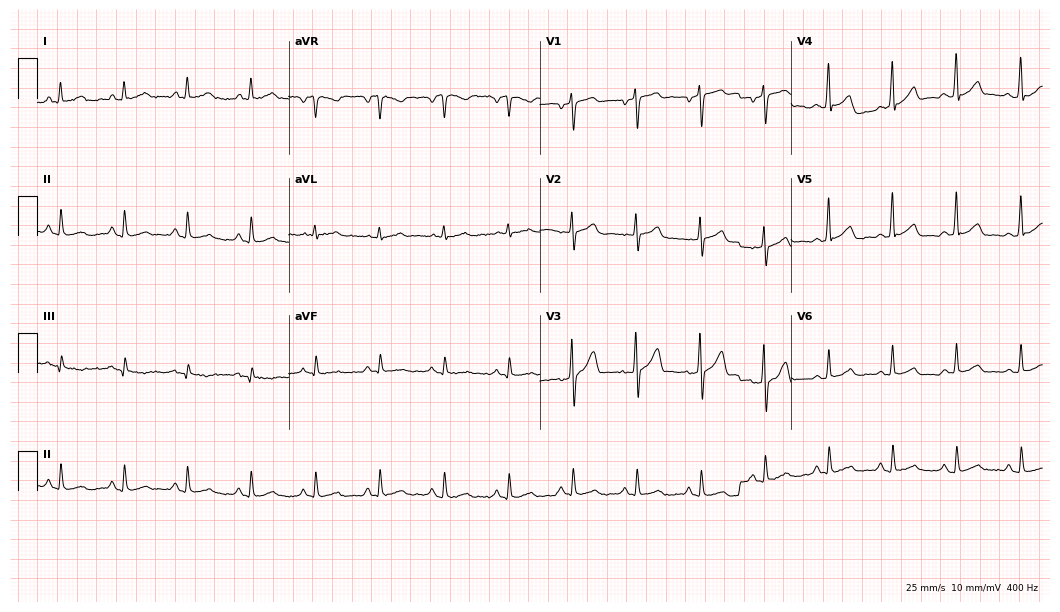
ECG (10.2-second recording at 400 Hz) — a male patient, 71 years old. Labelled as a normal ECG.